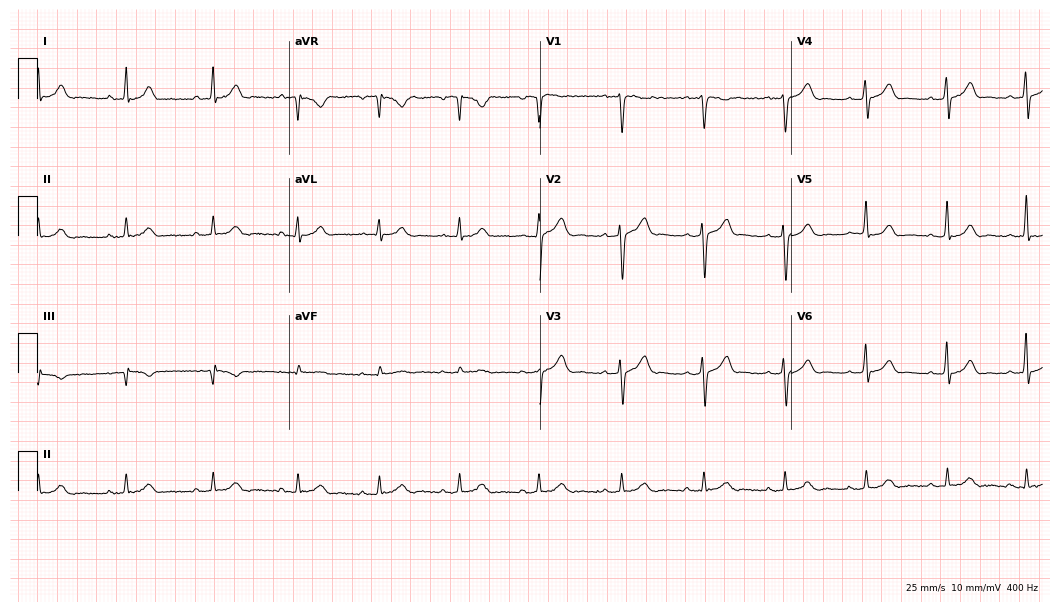
Standard 12-lead ECG recorded from a male patient, 29 years old (10.2-second recording at 400 Hz). Read as a normal ECG.